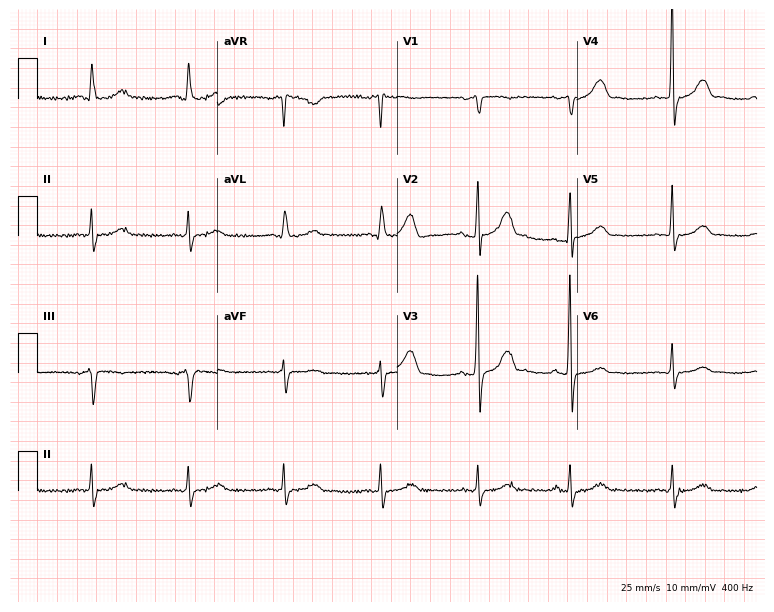
Resting 12-lead electrocardiogram. Patient: a 77-year-old woman. None of these six findings is recorded: first-degree AV block, right bundle branch block, left bundle branch block, sinus bradycardia, atrial fibrillation, sinus tachycardia. Other findings, if any, are not listed.